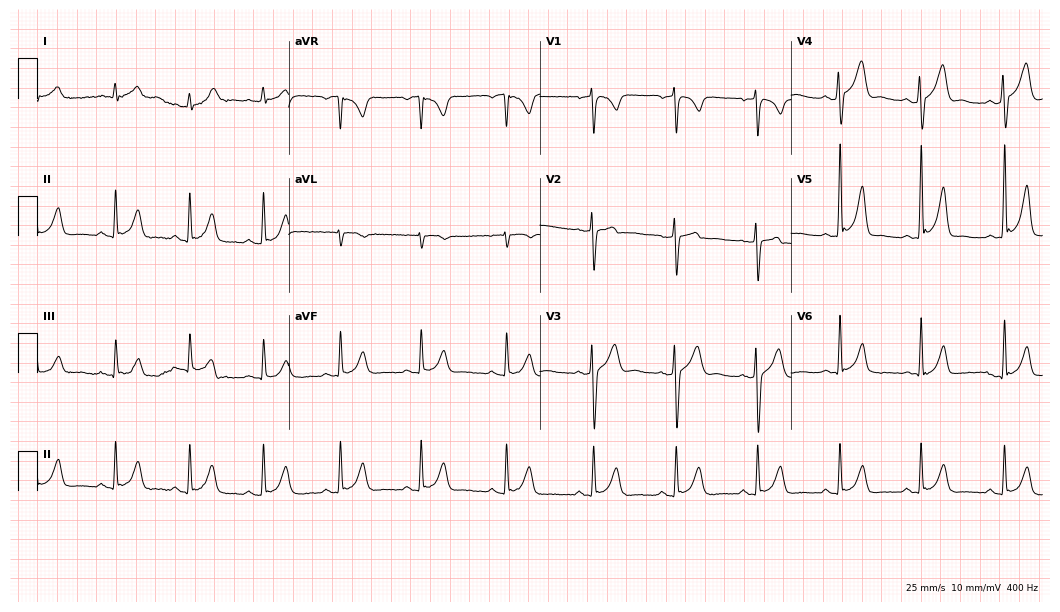
12-lead ECG from a male patient, 28 years old. Recorded interpretation: within normal limits.